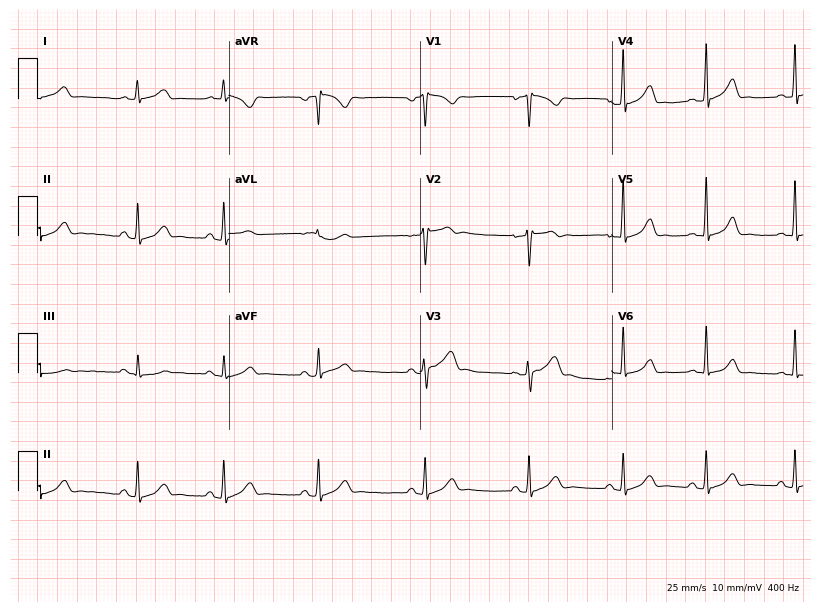
12-lead ECG from a 31-year-old woman. Labelled as a normal ECG.